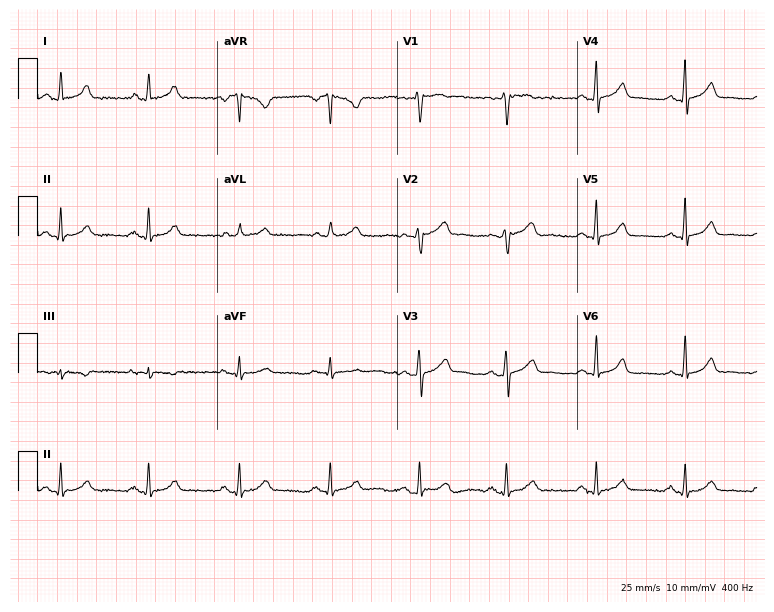
12-lead ECG from a 49-year-old woman. Labelled as a normal ECG.